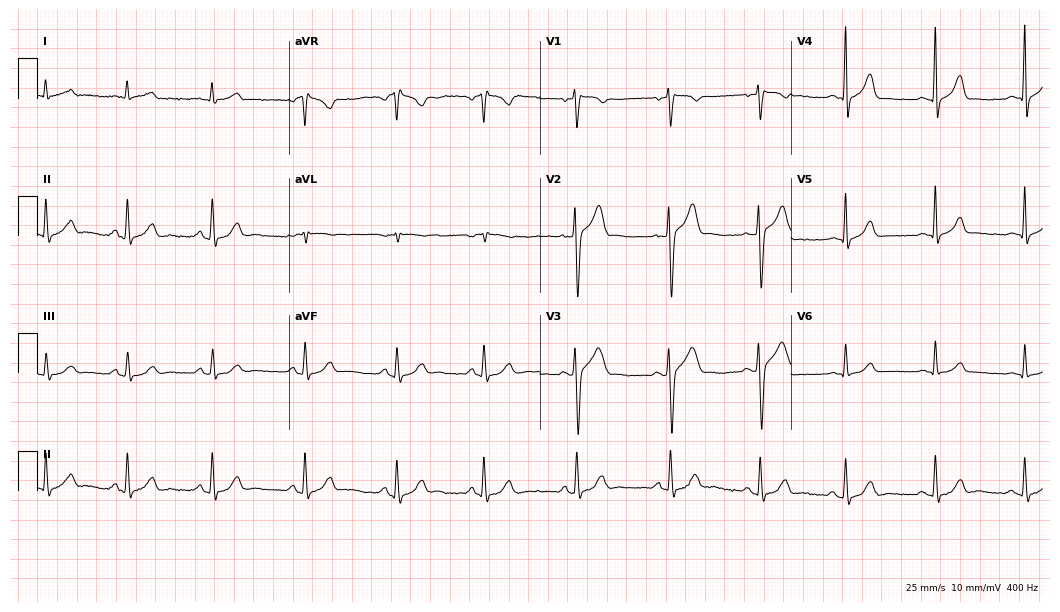
Electrocardiogram (10.2-second recording at 400 Hz), a male, 23 years old. Overall reading on record: normal ECG.